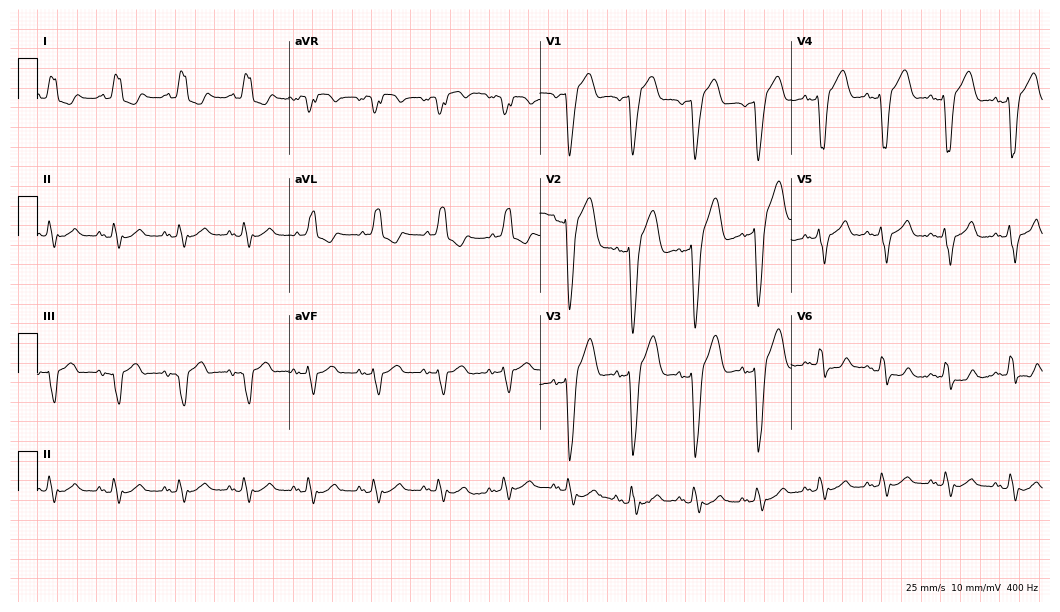
Electrocardiogram, an 80-year-old male patient. Interpretation includes left bundle branch block (LBBB).